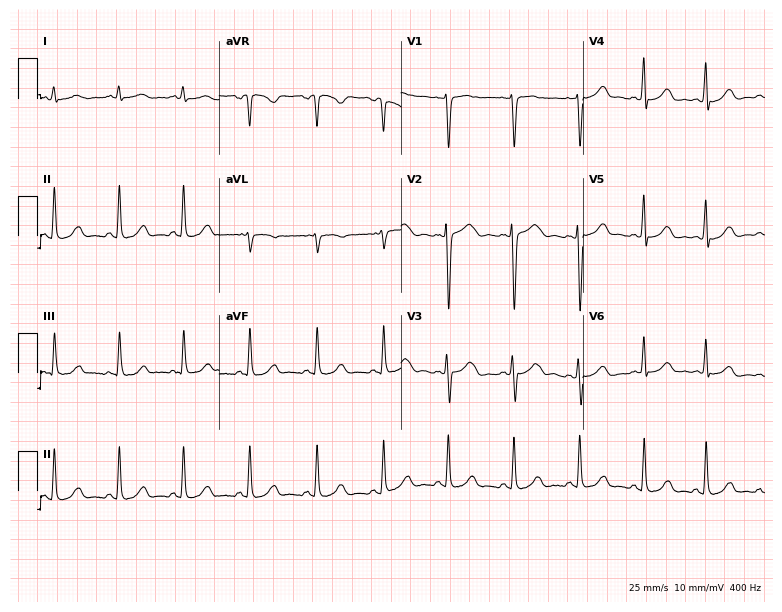
12-lead ECG from a female, 22 years old. Recorded interpretation: within normal limits.